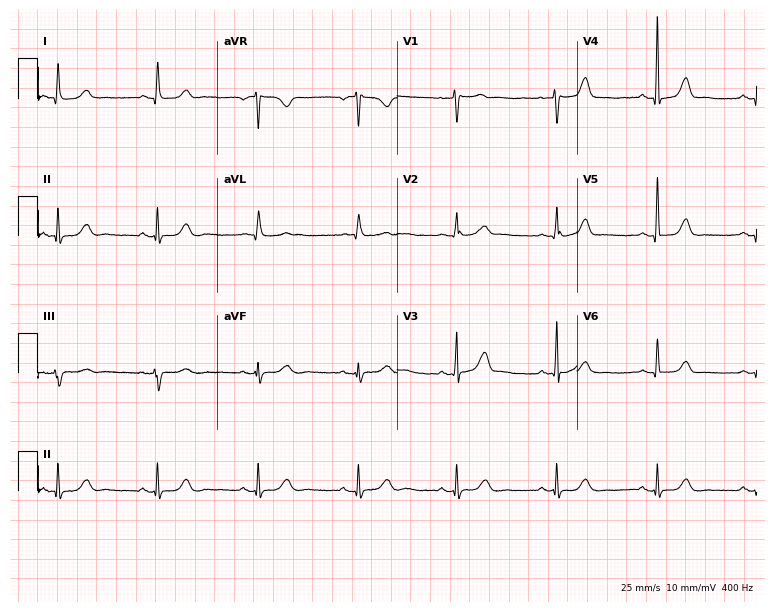
12-lead ECG from a 61-year-old female patient (7.3-second recording at 400 Hz). Recorded interpretation: within normal limits.